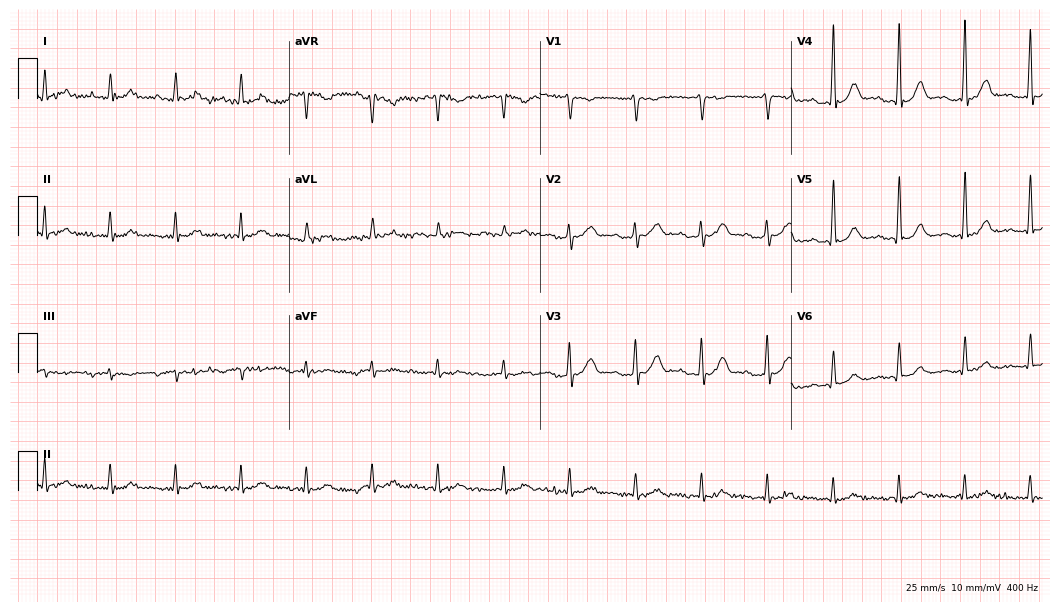
Electrocardiogram (10.2-second recording at 400 Hz), an 81-year-old male. Of the six screened findings (first-degree AV block, right bundle branch block, left bundle branch block, sinus bradycardia, atrial fibrillation, sinus tachycardia), none is recorded. Findings outside these six are not listed.